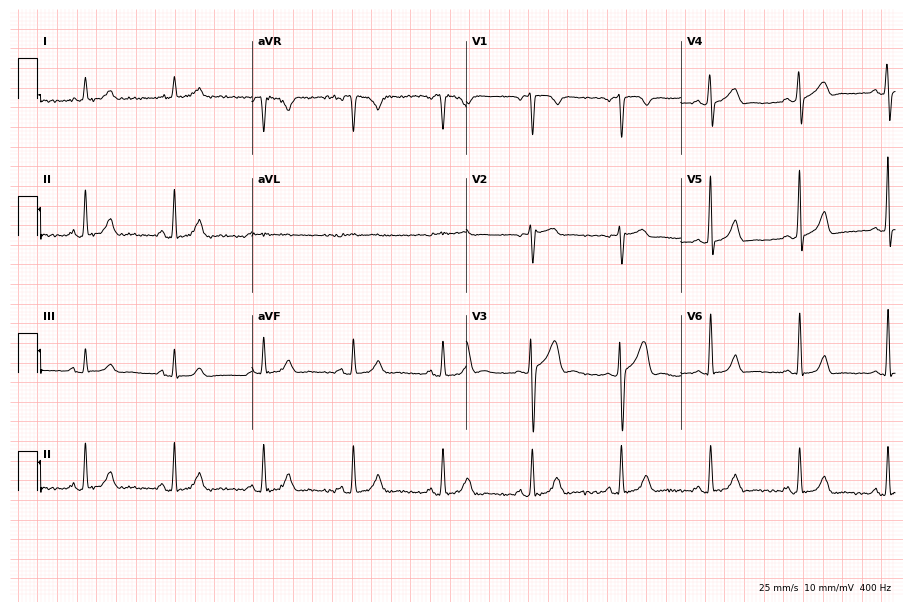
Standard 12-lead ECG recorded from a 47-year-old man. None of these six findings is recorded: first-degree AV block, right bundle branch block (RBBB), left bundle branch block (LBBB), sinus bradycardia, atrial fibrillation (AF), sinus tachycardia. Other findings, if any, are not listed.